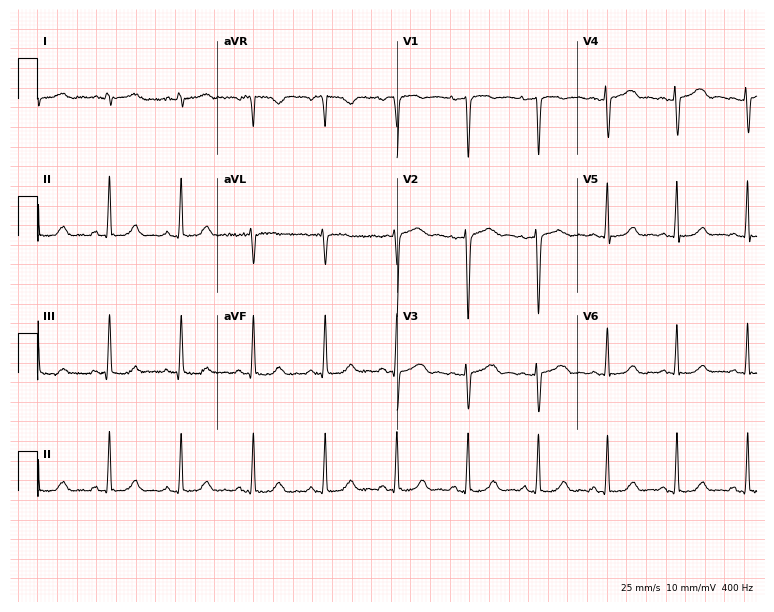
Resting 12-lead electrocardiogram (7.3-second recording at 400 Hz). Patient: a woman, 27 years old. None of these six findings is recorded: first-degree AV block, right bundle branch block, left bundle branch block, sinus bradycardia, atrial fibrillation, sinus tachycardia.